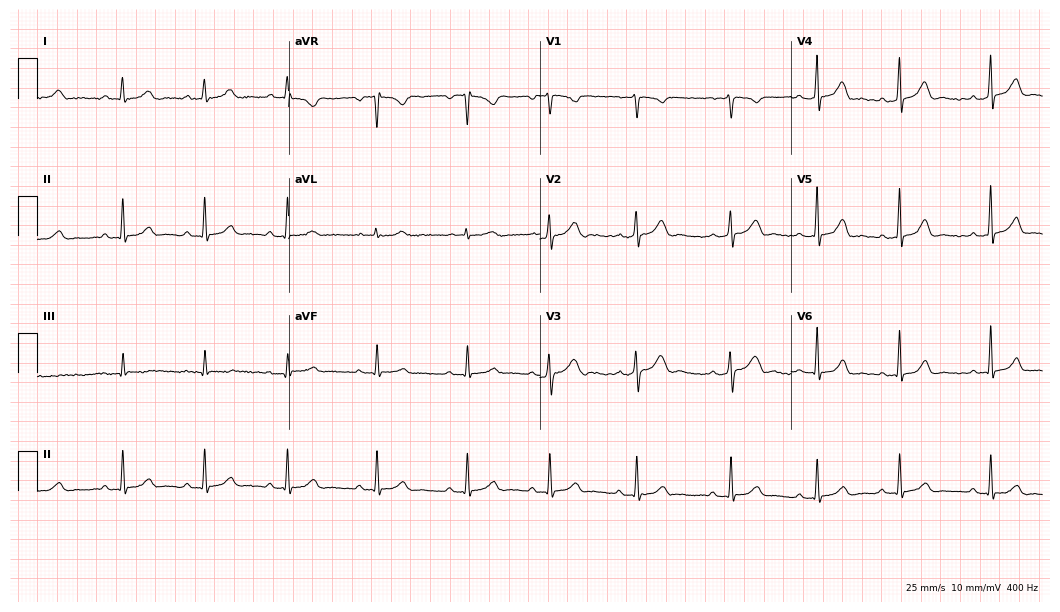
Standard 12-lead ECG recorded from a woman, 20 years old. Read as a normal ECG.